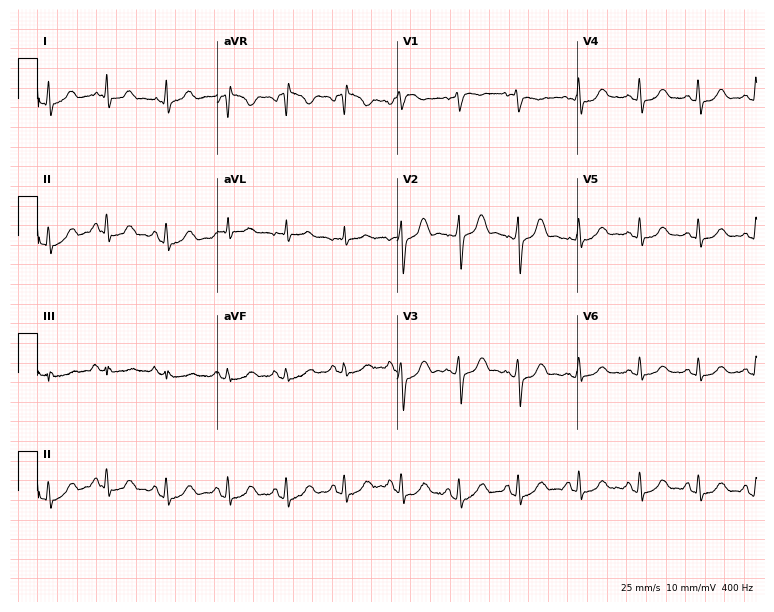
Resting 12-lead electrocardiogram. Patient: a female, 44 years old. None of these six findings is recorded: first-degree AV block, right bundle branch block, left bundle branch block, sinus bradycardia, atrial fibrillation, sinus tachycardia.